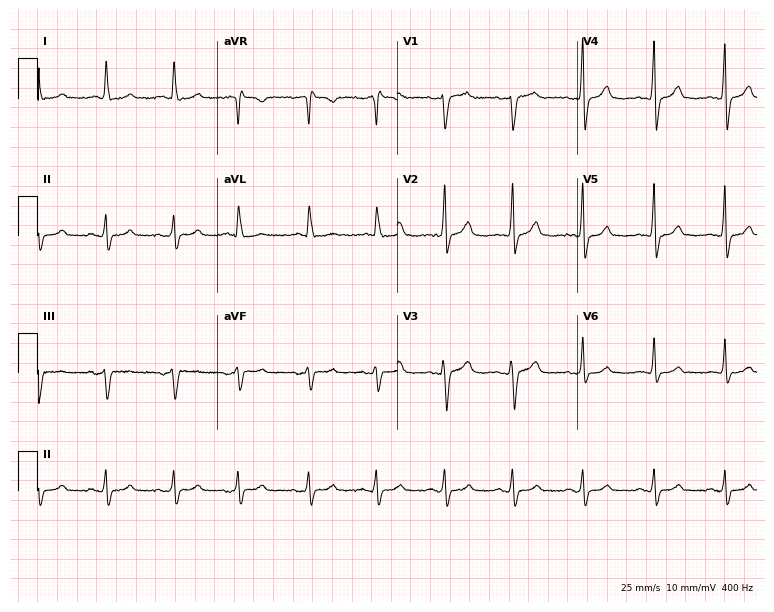
Standard 12-lead ECG recorded from a 64-year-old female. Read as a normal ECG.